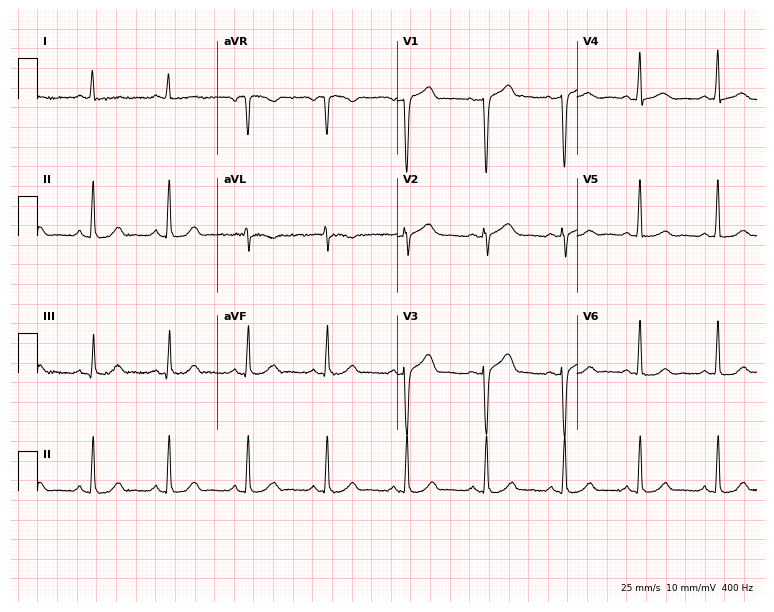
ECG — a male, 55 years old. Labelled as a normal ECG.